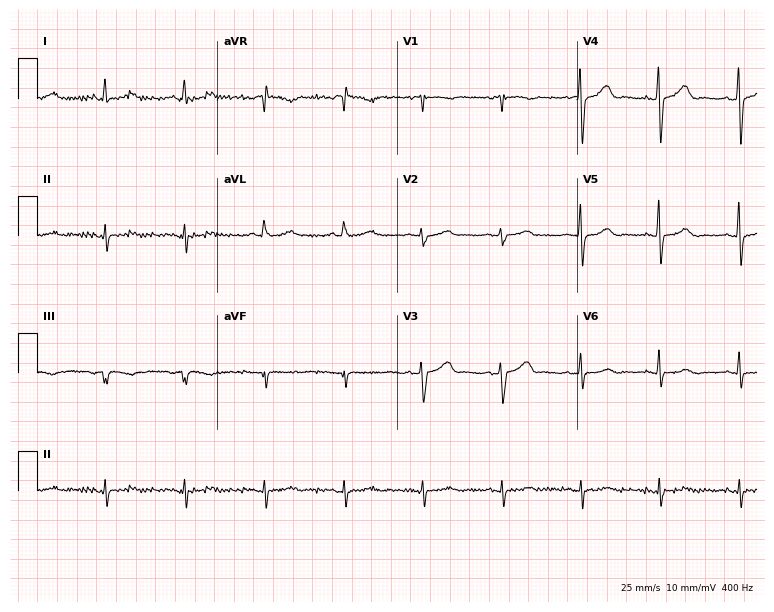
Resting 12-lead electrocardiogram (7.3-second recording at 400 Hz). Patient: a male, 73 years old. None of these six findings is recorded: first-degree AV block, right bundle branch block, left bundle branch block, sinus bradycardia, atrial fibrillation, sinus tachycardia. Findings outside these six are not listed.